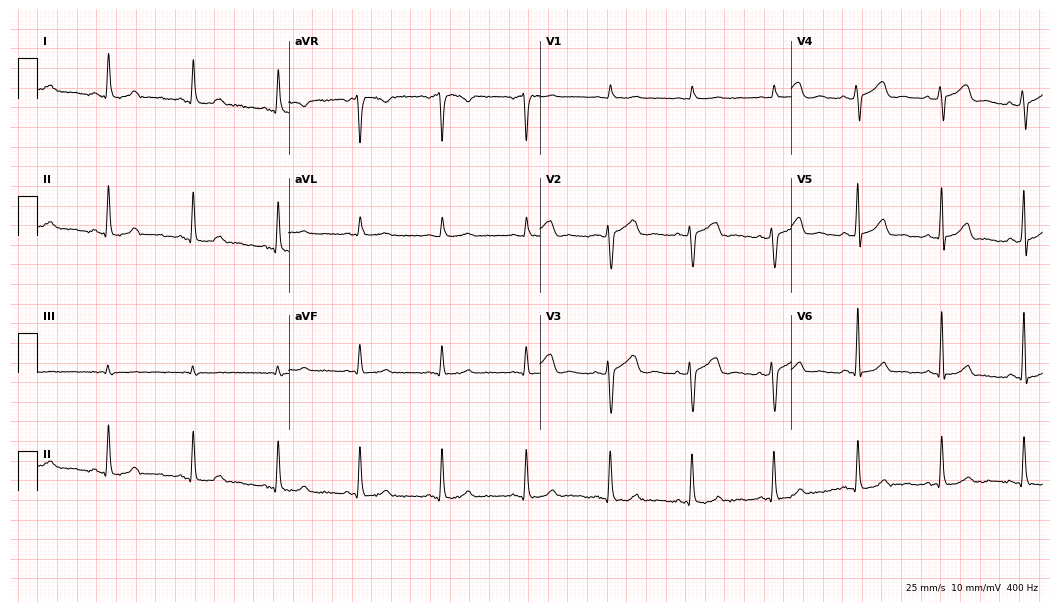
Resting 12-lead electrocardiogram. Patient: a female, 50 years old. Read as a normal ECG.